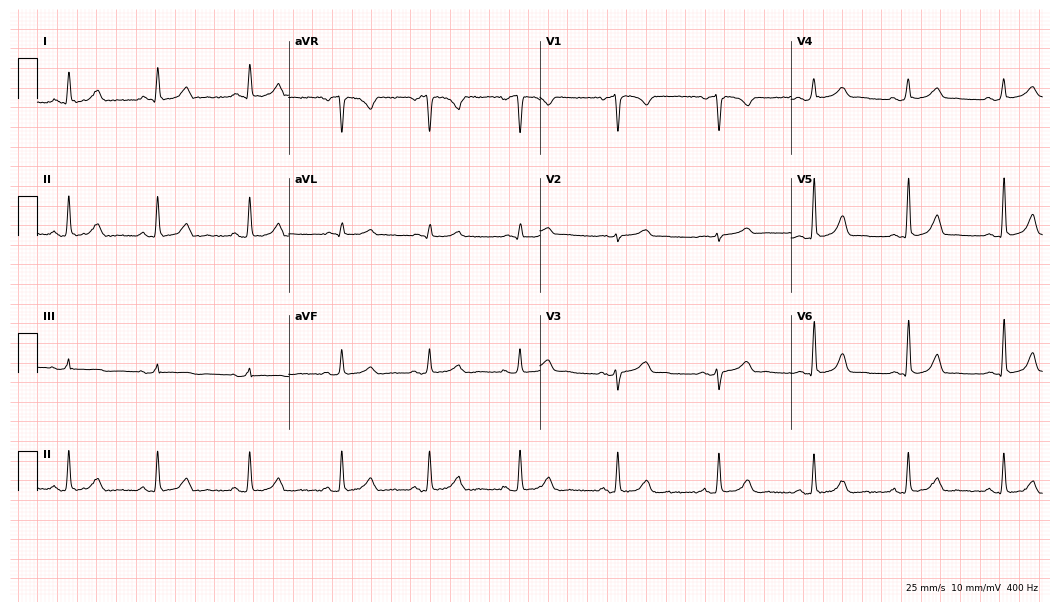
12-lead ECG from a female, 29 years old. Recorded interpretation: within normal limits.